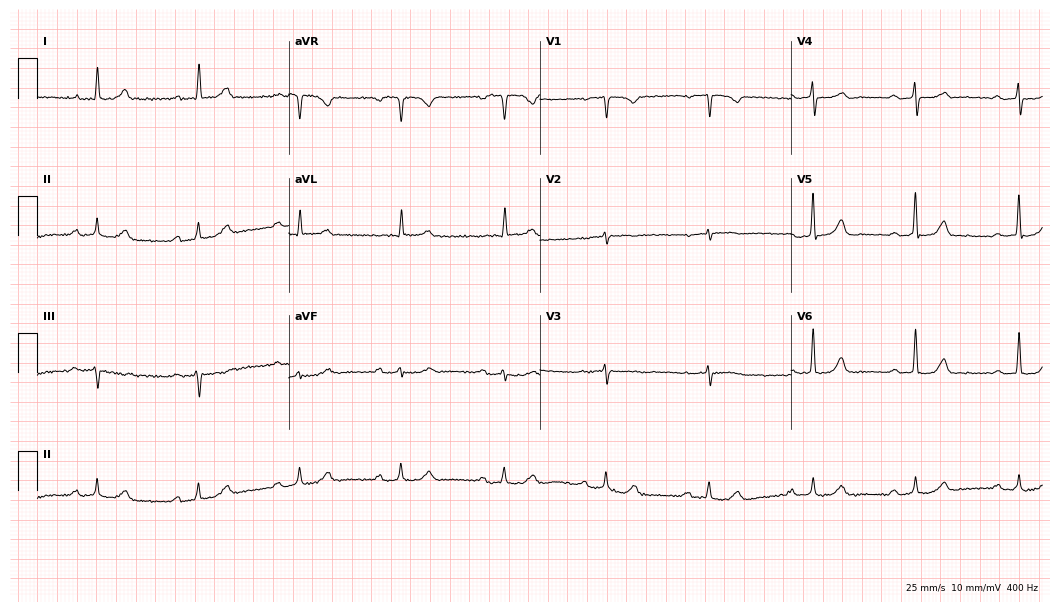
ECG (10.2-second recording at 400 Hz) — an 85-year-old female patient. Findings include first-degree AV block.